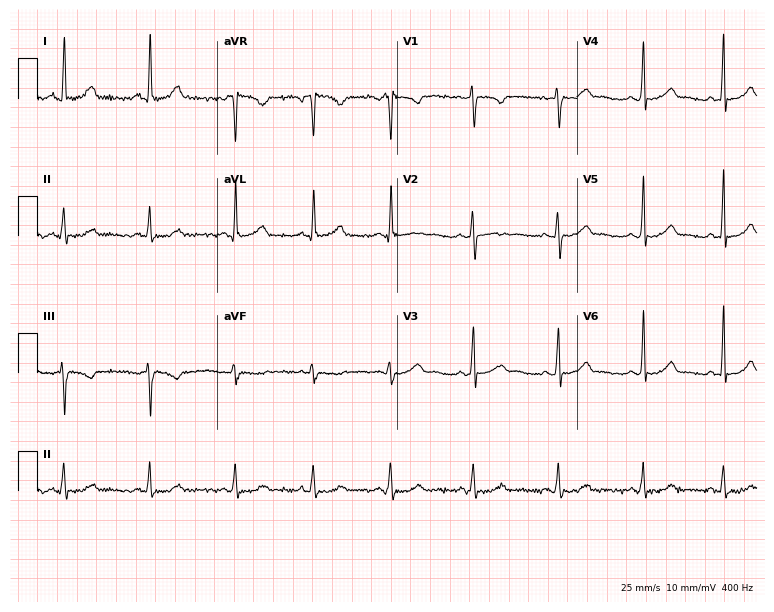
Standard 12-lead ECG recorded from a 25-year-old woman (7.3-second recording at 400 Hz). Read as a normal ECG.